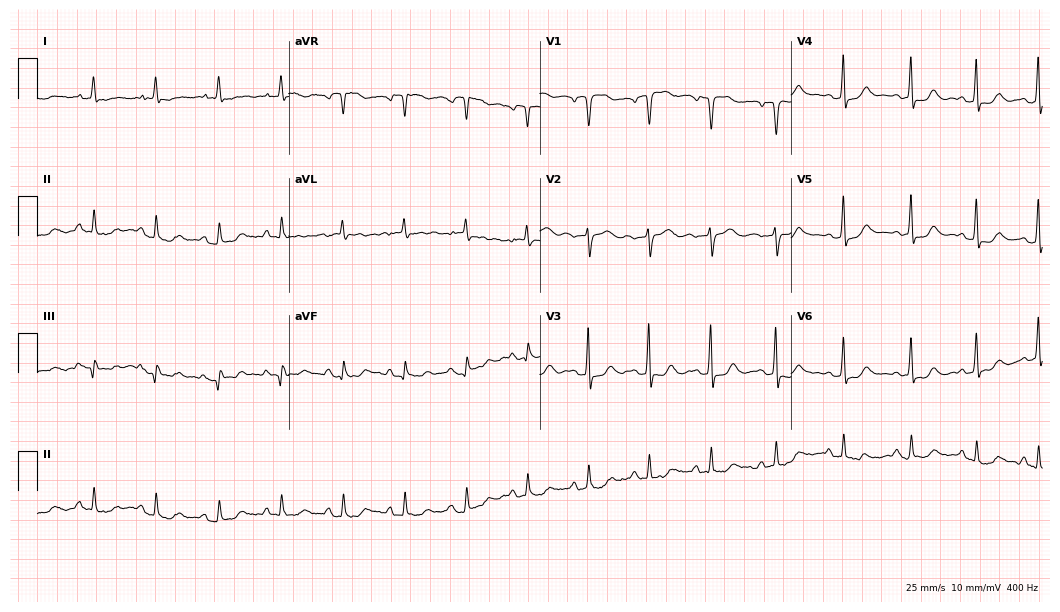
12-lead ECG from a 77-year-old woman (10.2-second recording at 400 Hz). No first-degree AV block, right bundle branch block (RBBB), left bundle branch block (LBBB), sinus bradycardia, atrial fibrillation (AF) or sinus tachycardia recorded for this tracing. Other findings, if any, are not listed.